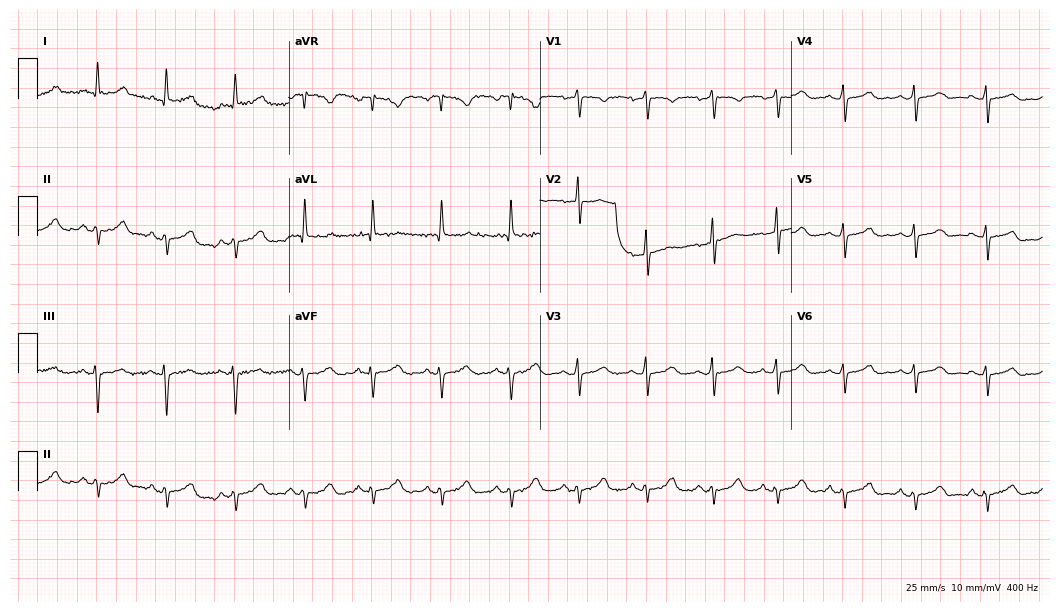
Standard 12-lead ECG recorded from a 59-year-old female (10.2-second recording at 400 Hz). None of these six findings is recorded: first-degree AV block, right bundle branch block, left bundle branch block, sinus bradycardia, atrial fibrillation, sinus tachycardia. Findings outside these six are not listed.